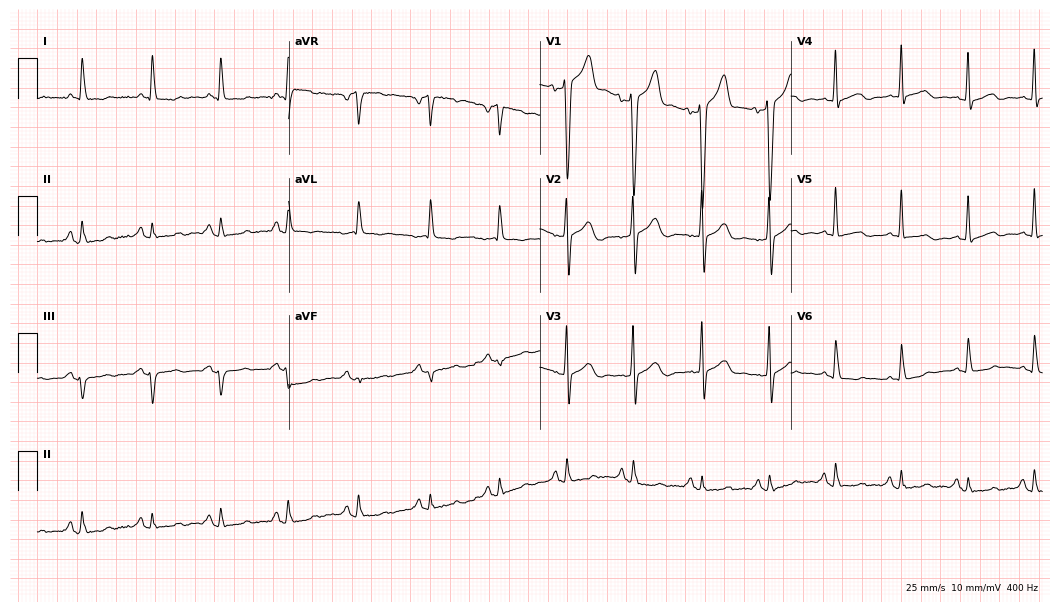
Electrocardiogram, a 62-year-old man. Of the six screened findings (first-degree AV block, right bundle branch block (RBBB), left bundle branch block (LBBB), sinus bradycardia, atrial fibrillation (AF), sinus tachycardia), none is recorded. Findings outside these six are not listed.